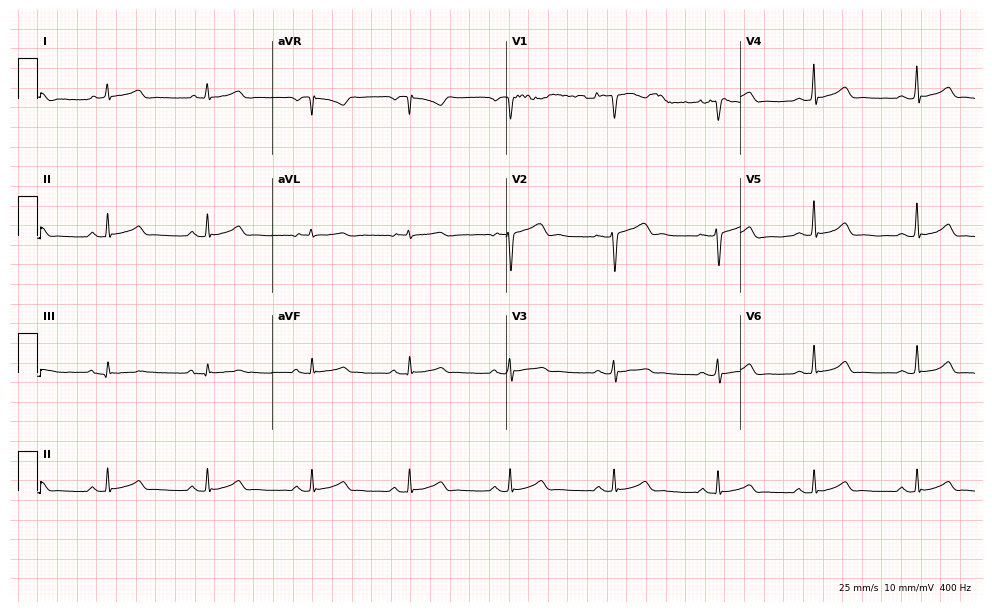
Electrocardiogram (9.6-second recording at 400 Hz), a female patient, 29 years old. Overall reading on record: normal ECG.